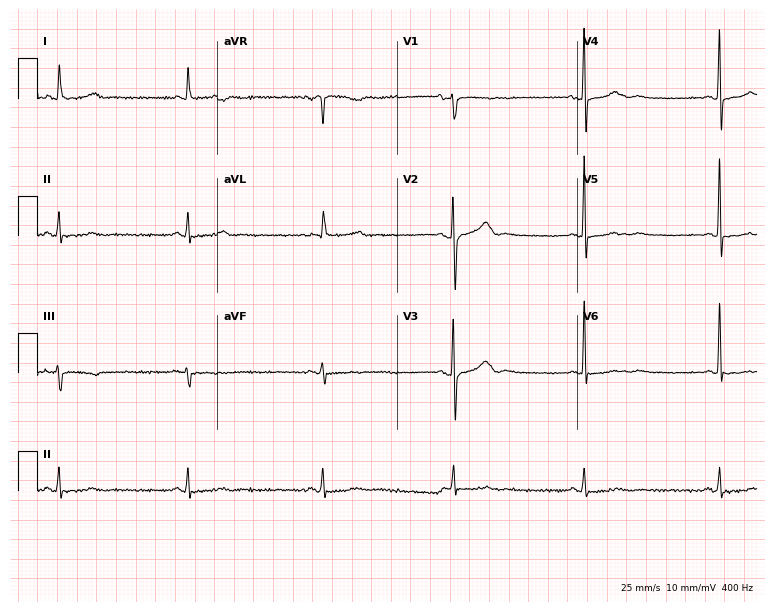
Standard 12-lead ECG recorded from a 65-year-old male patient (7.3-second recording at 400 Hz). The tracing shows sinus bradycardia (a sinus rate of 50 beats per minute or less).